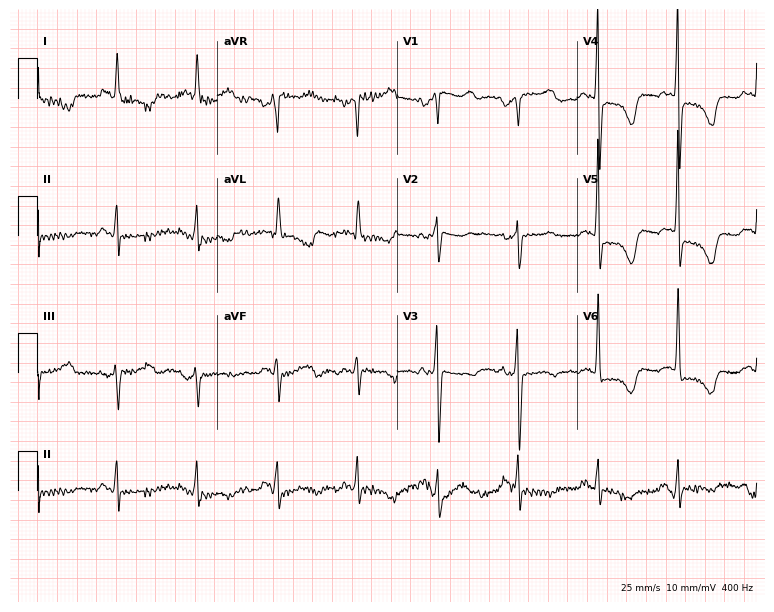
ECG — a female, 71 years old. Screened for six findings — first-degree AV block, right bundle branch block, left bundle branch block, sinus bradycardia, atrial fibrillation, sinus tachycardia — none is recorded. Only these six findings were labelled.